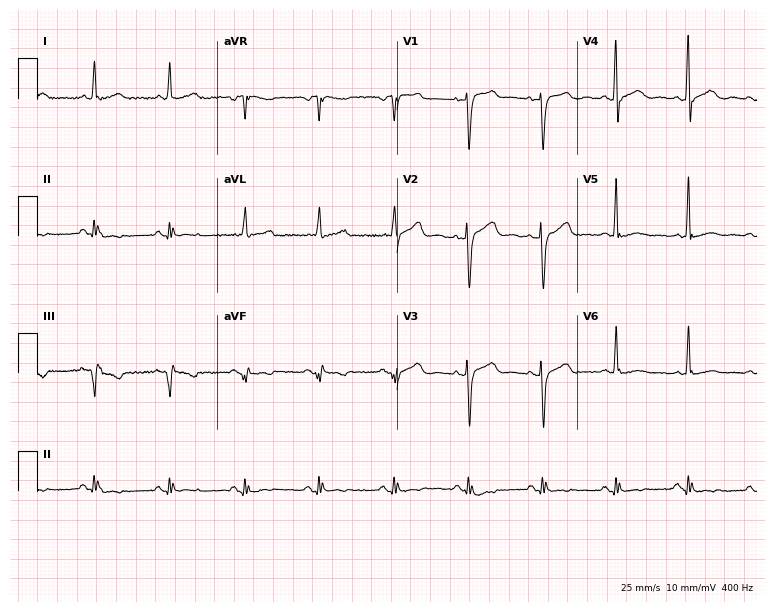
12-lead ECG from a 64-year-old male patient. No first-degree AV block, right bundle branch block (RBBB), left bundle branch block (LBBB), sinus bradycardia, atrial fibrillation (AF) or sinus tachycardia recorded for this tracing.